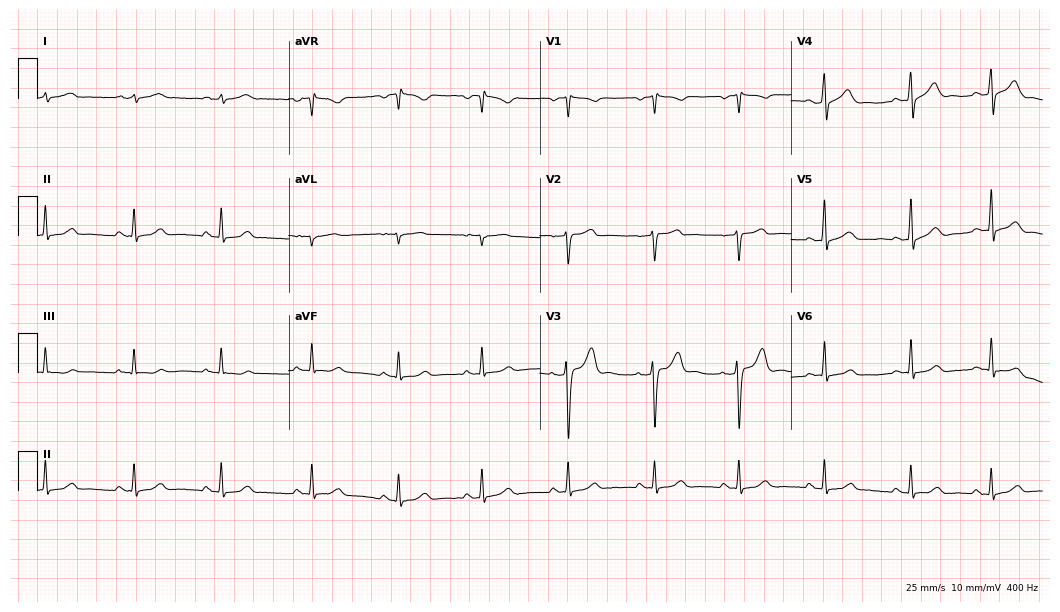
Standard 12-lead ECG recorded from a 37-year-old man. Read as a normal ECG.